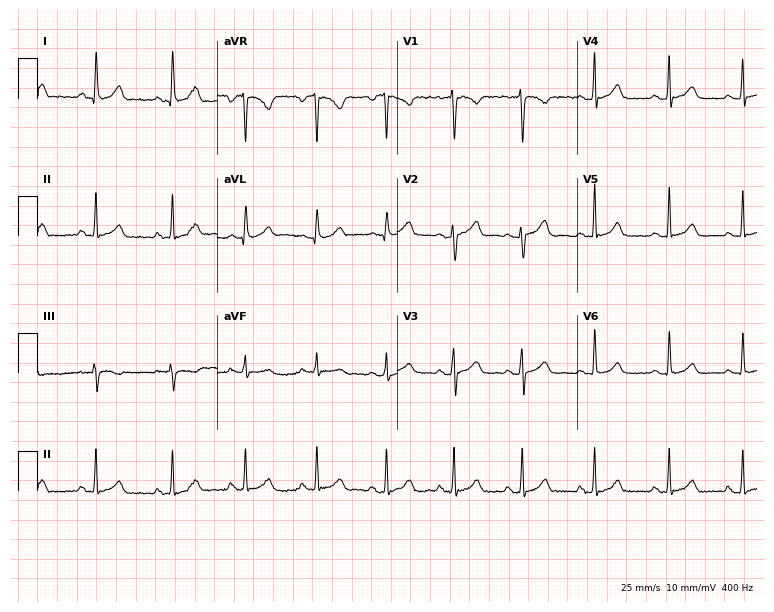
Electrocardiogram, a 40-year-old woman. Overall reading on record: normal ECG.